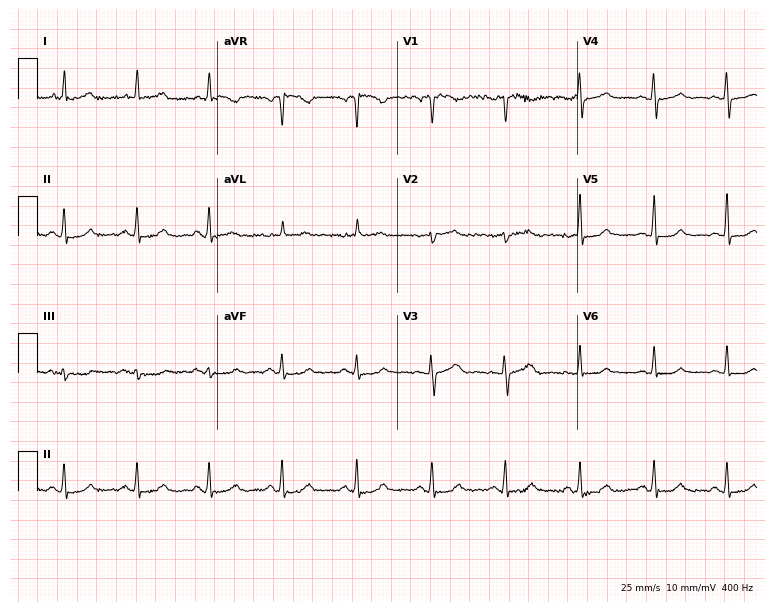
12-lead ECG from a female patient, 56 years old. Recorded interpretation: within normal limits.